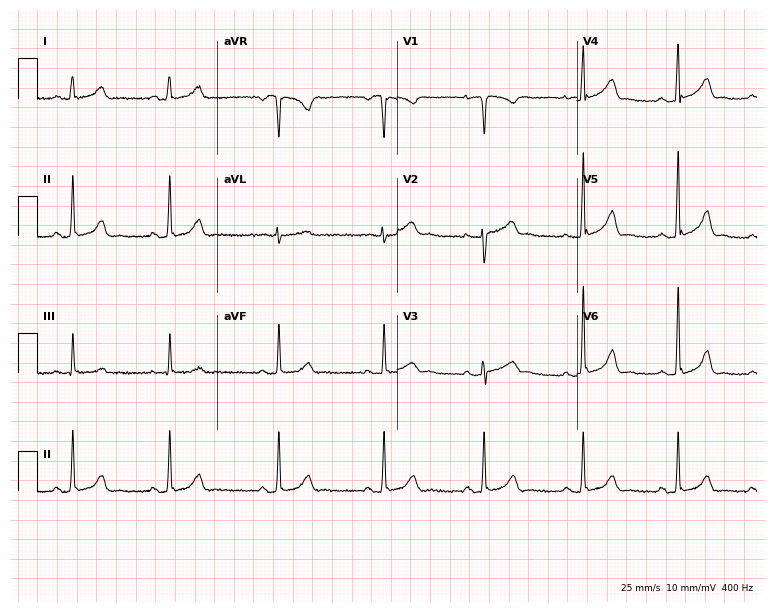
12-lead ECG (7.3-second recording at 400 Hz) from a 27-year-old woman. Labelled as a normal ECG.